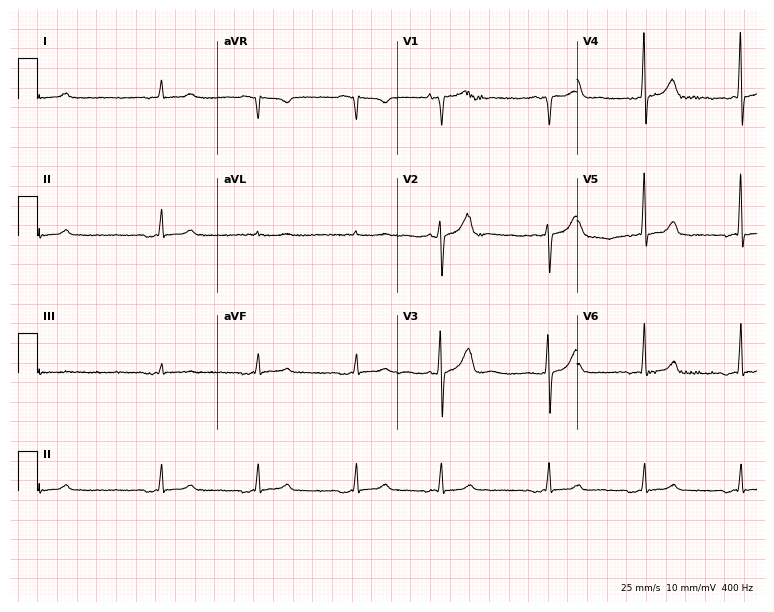
12-lead ECG from a man, 83 years old. Screened for six findings — first-degree AV block, right bundle branch block, left bundle branch block, sinus bradycardia, atrial fibrillation, sinus tachycardia — none is recorded. Only these six findings were labelled.